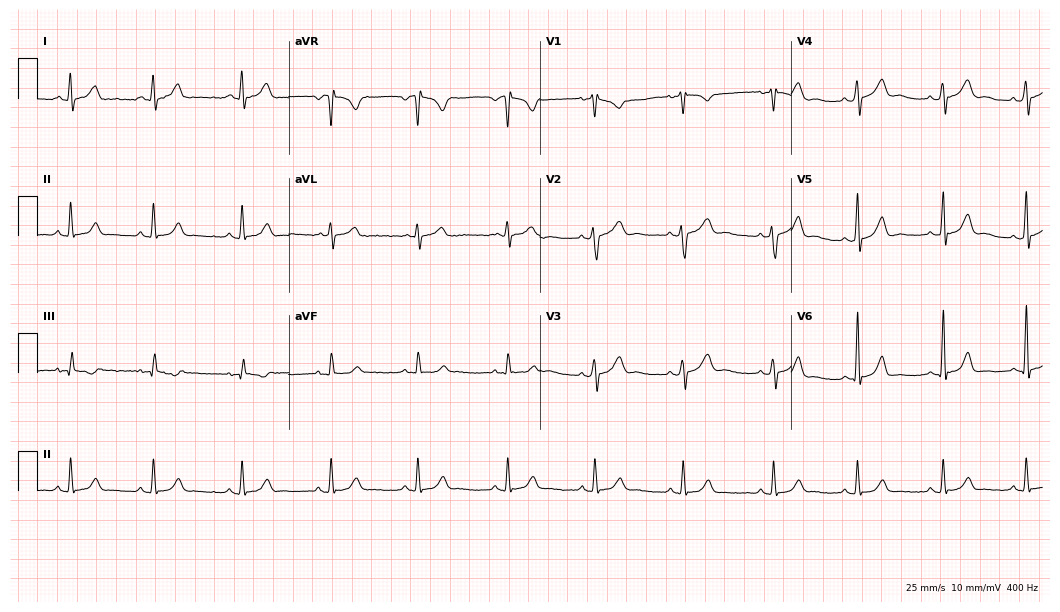
ECG (10.2-second recording at 400 Hz) — a female patient, 19 years old. Labelled as a normal ECG.